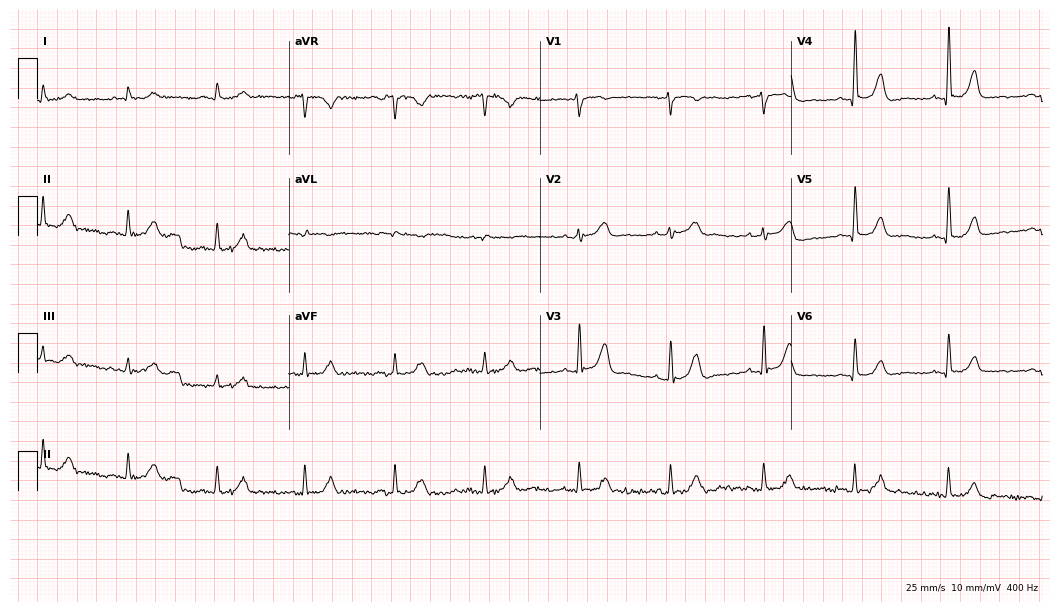
Standard 12-lead ECG recorded from a man, 85 years old. None of these six findings is recorded: first-degree AV block, right bundle branch block, left bundle branch block, sinus bradycardia, atrial fibrillation, sinus tachycardia. Only these six findings were labelled.